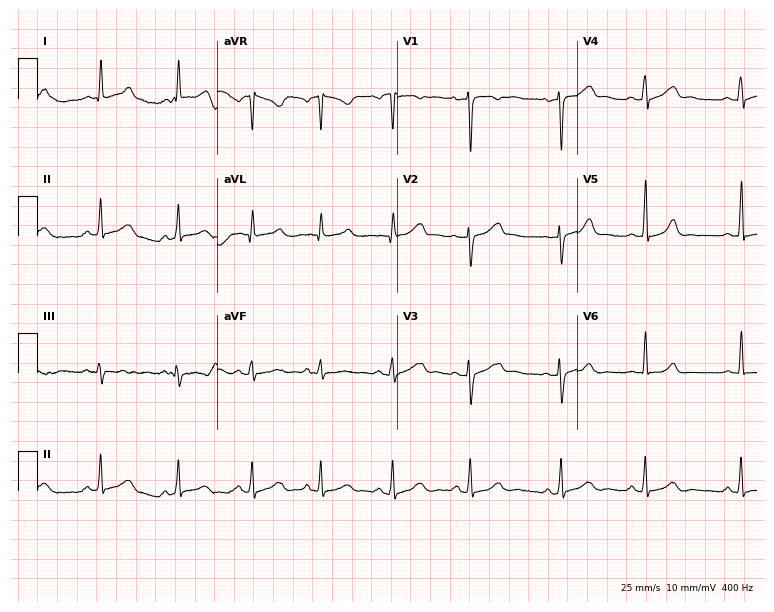
Standard 12-lead ECG recorded from a 39-year-old female. None of these six findings is recorded: first-degree AV block, right bundle branch block, left bundle branch block, sinus bradycardia, atrial fibrillation, sinus tachycardia.